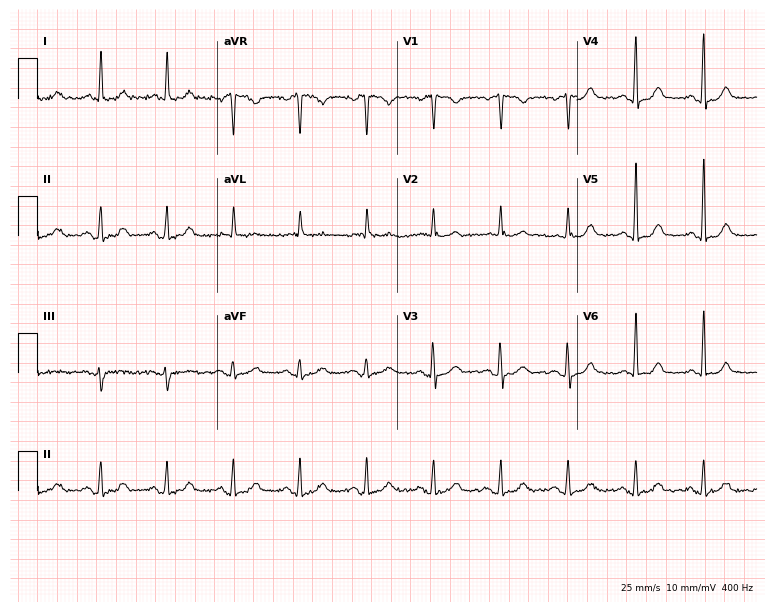
Electrocardiogram (7.3-second recording at 400 Hz), a woman, 78 years old. Overall reading on record: normal ECG.